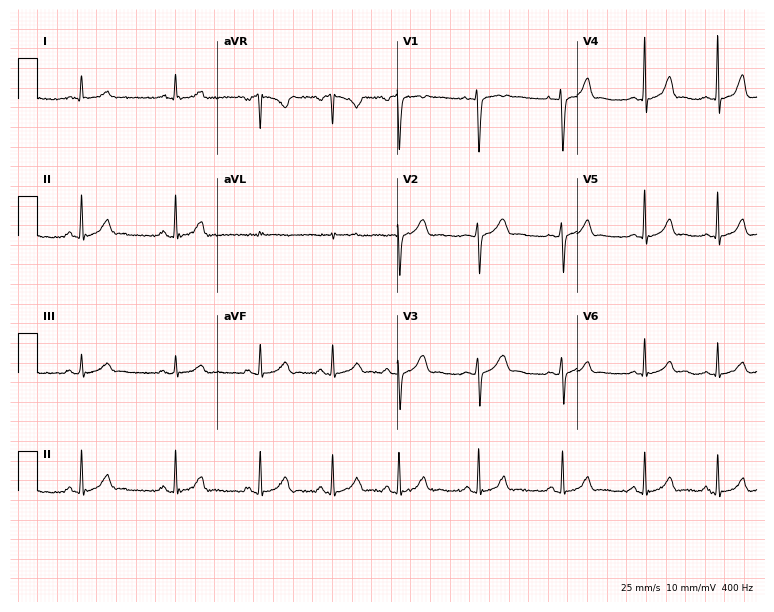
Standard 12-lead ECG recorded from a woman, 17 years old. Read as a normal ECG.